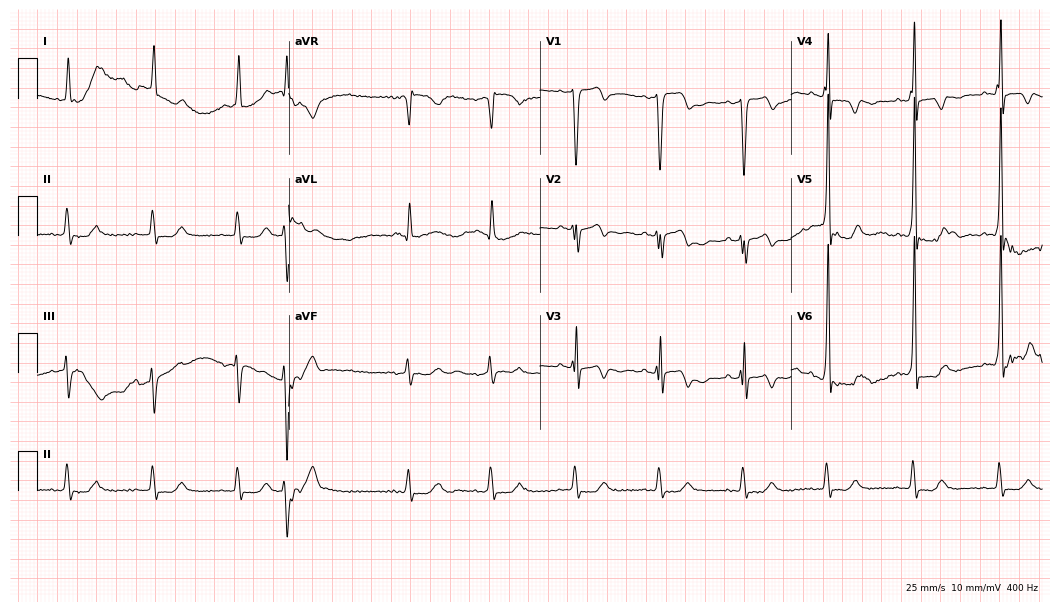
Standard 12-lead ECG recorded from an 82-year-old male (10.2-second recording at 400 Hz). None of these six findings is recorded: first-degree AV block, right bundle branch block, left bundle branch block, sinus bradycardia, atrial fibrillation, sinus tachycardia. Findings outside these six are not listed.